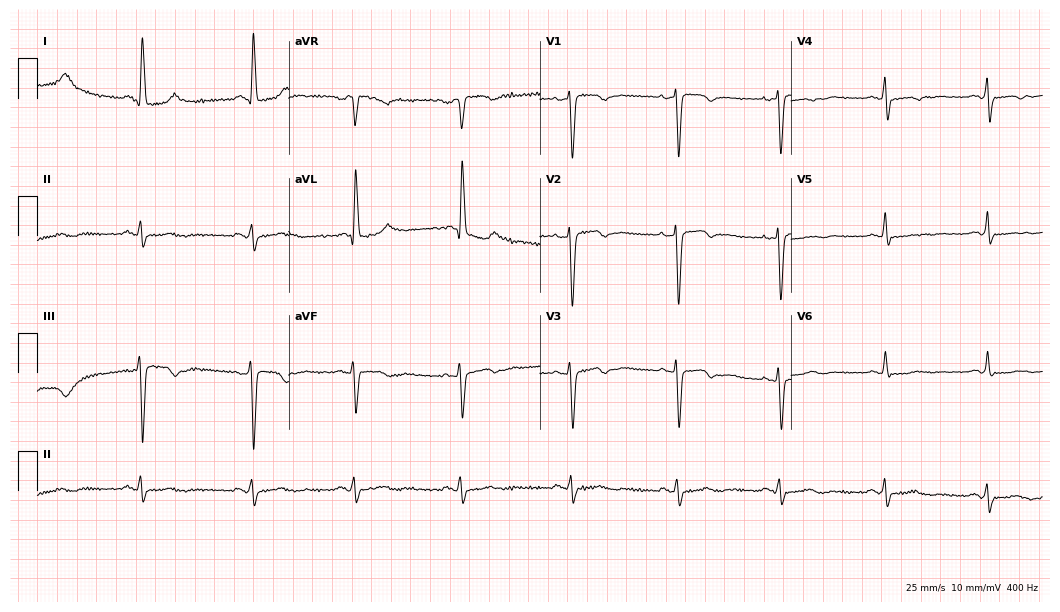
Electrocardiogram, a female patient, 54 years old. Of the six screened findings (first-degree AV block, right bundle branch block, left bundle branch block, sinus bradycardia, atrial fibrillation, sinus tachycardia), none is recorded. Findings outside these six are not listed.